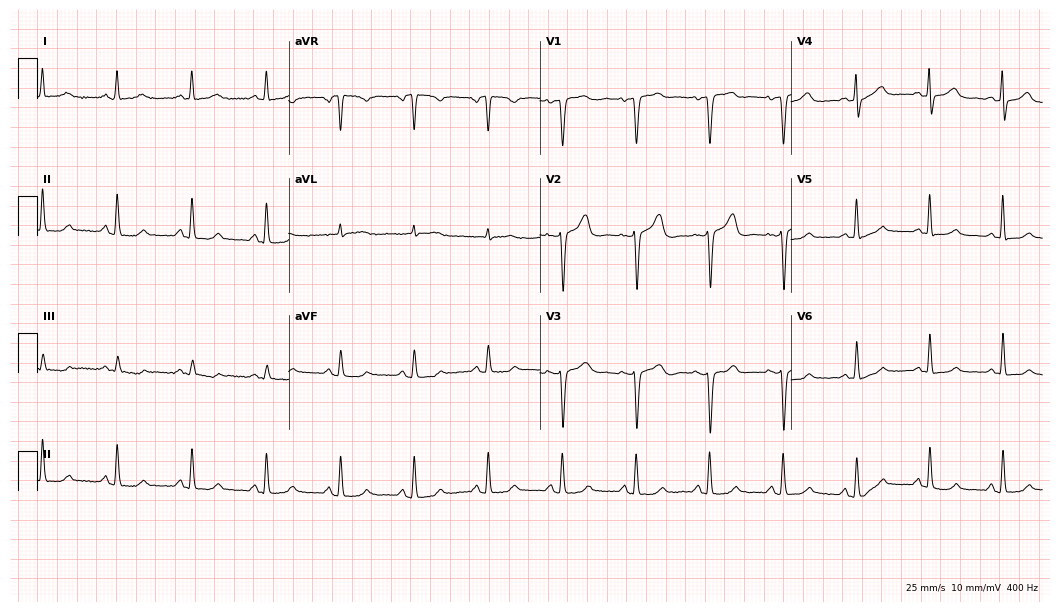
Resting 12-lead electrocardiogram (10.2-second recording at 400 Hz). Patient: a woman, 78 years old. None of these six findings is recorded: first-degree AV block, right bundle branch block (RBBB), left bundle branch block (LBBB), sinus bradycardia, atrial fibrillation (AF), sinus tachycardia.